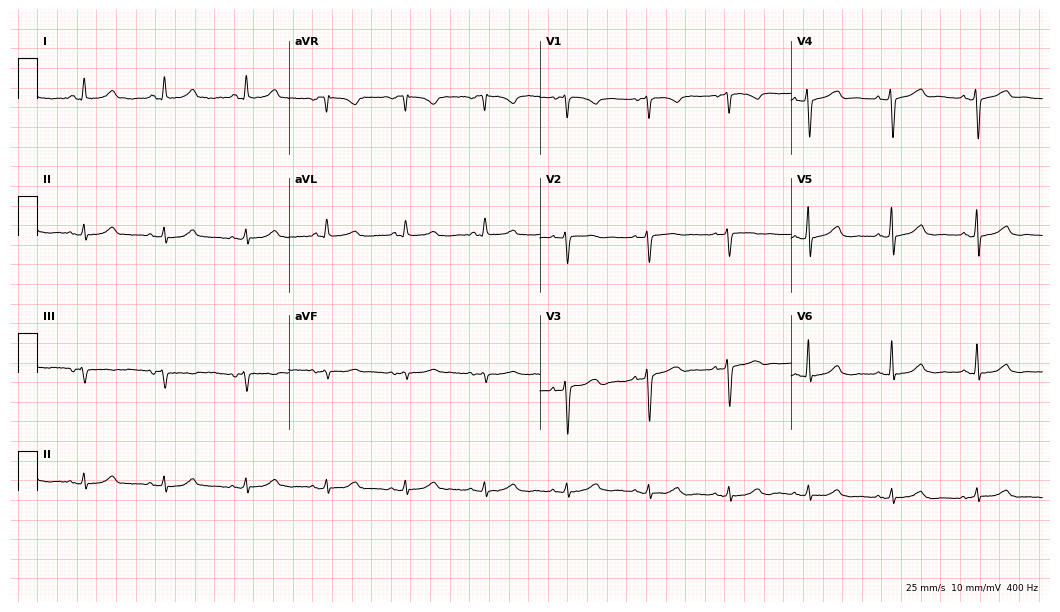
12-lead ECG (10.2-second recording at 400 Hz) from a 64-year-old woman. Labelled as a normal ECG.